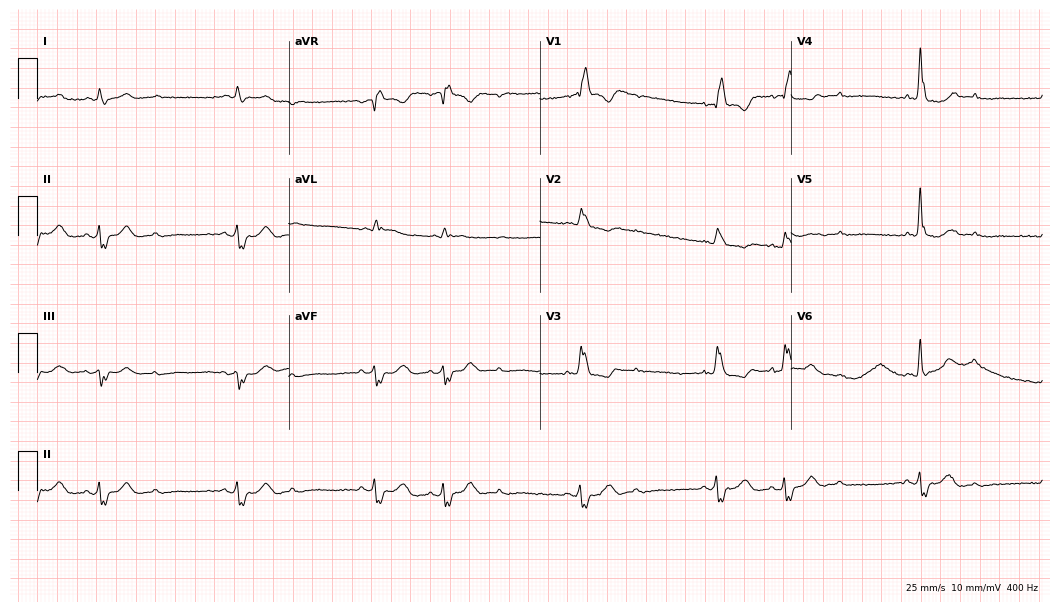
Electrocardiogram (10.2-second recording at 400 Hz), a 78-year-old male patient. Of the six screened findings (first-degree AV block, right bundle branch block, left bundle branch block, sinus bradycardia, atrial fibrillation, sinus tachycardia), none is recorded. Only these six findings were labelled.